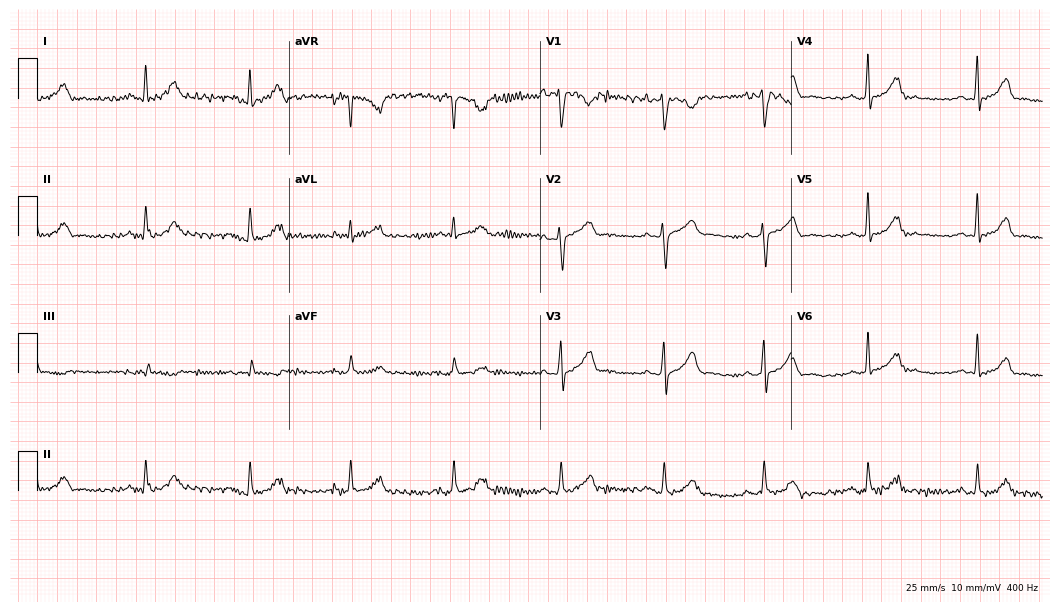
Standard 12-lead ECG recorded from a 38-year-old female. Read as a normal ECG.